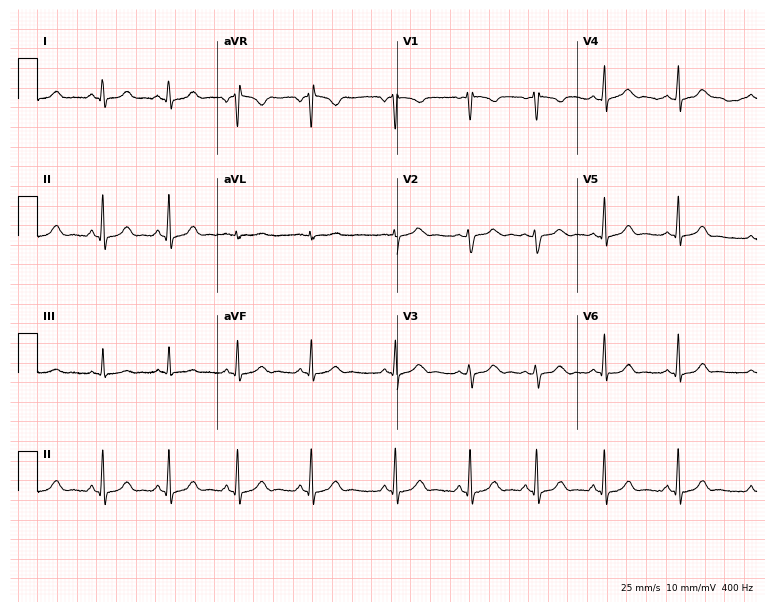
ECG (7.3-second recording at 400 Hz) — a female, 22 years old. Screened for six findings — first-degree AV block, right bundle branch block, left bundle branch block, sinus bradycardia, atrial fibrillation, sinus tachycardia — none is recorded.